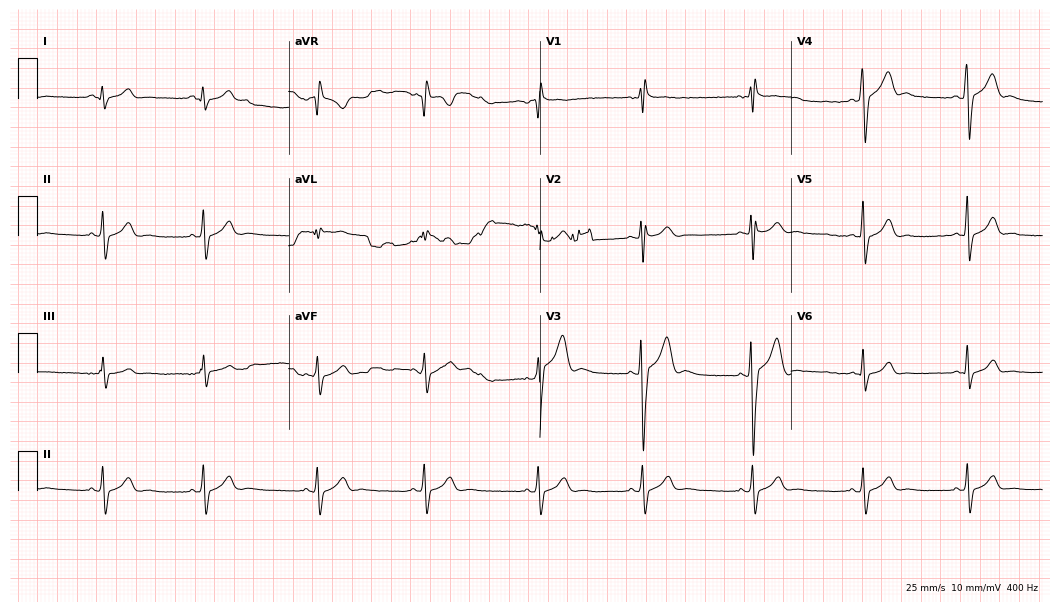
ECG (10.2-second recording at 400 Hz) — a 17-year-old male patient. Screened for six findings — first-degree AV block, right bundle branch block, left bundle branch block, sinus bradycardia, atrial fibrillation, sinus tachycardia — none is recorded.